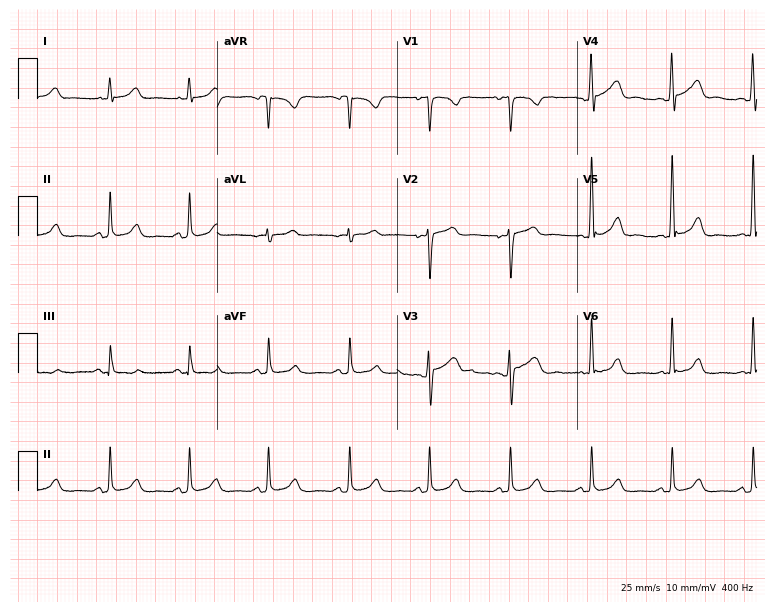
12-lead ECG from a 33-year-old male patient. Labelled as a normal ECG.